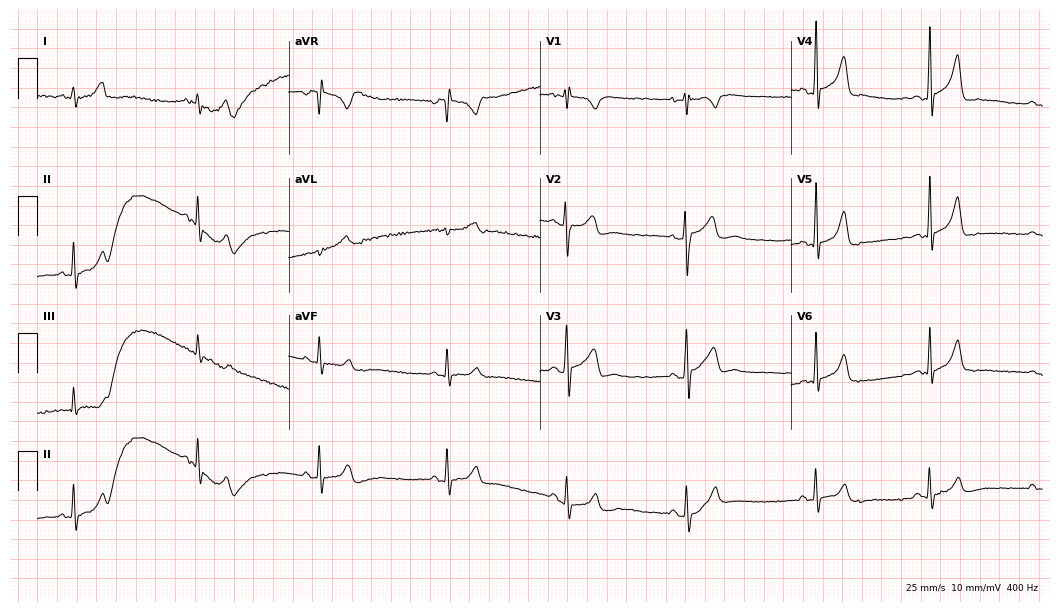
Standard 12-lead ECG recorded from a 21-year-old male. None of these six findings is recorded: first-degree AV block, right bundle branch block, left bundle branch block, sinus bradycardia, atrial fibrillation, sinus tachycardia. Findings outside these six are not listed.